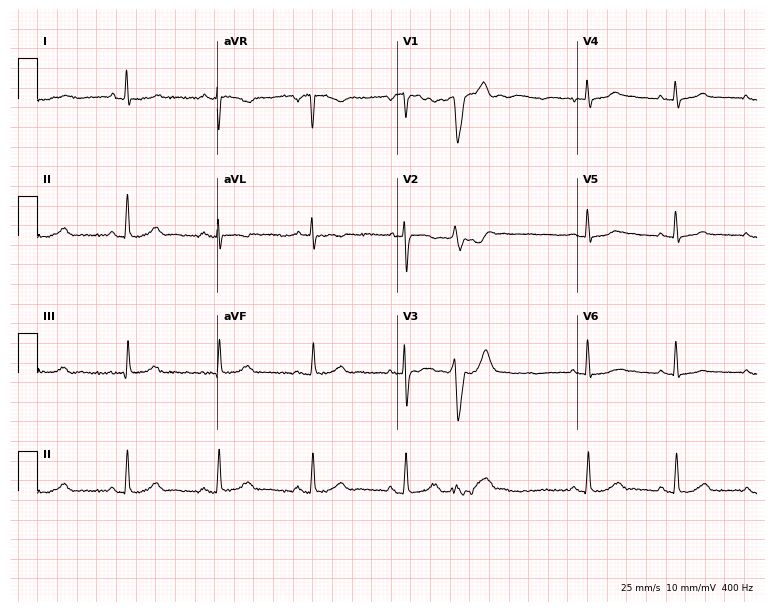
Resting 12-lead electrocardiogram (7.3-second recording at 400 Hz). Patient: a 63-year-old female. None of these six findings is recorded: first-degree AV block, right bundle branch block, left bundle branch block, sinus bradycardia, atrial fibrillation, sinus tachycardia. Other findings, if any, are not listed.